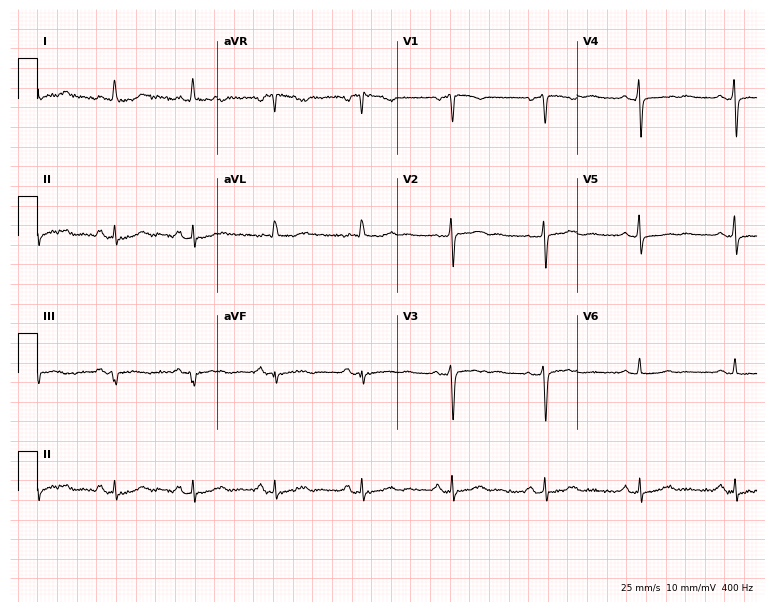
12-lead ECG (7.3-second recording at 400 Hz) from a woman, 58 years old. Screened for six findings — first-degree AV block, right bundle branch block, left bundle branch block, sinus bradycardia, atrial fibrillation, sinus tachycardia — none is recorded. Only these six findings were labelled.